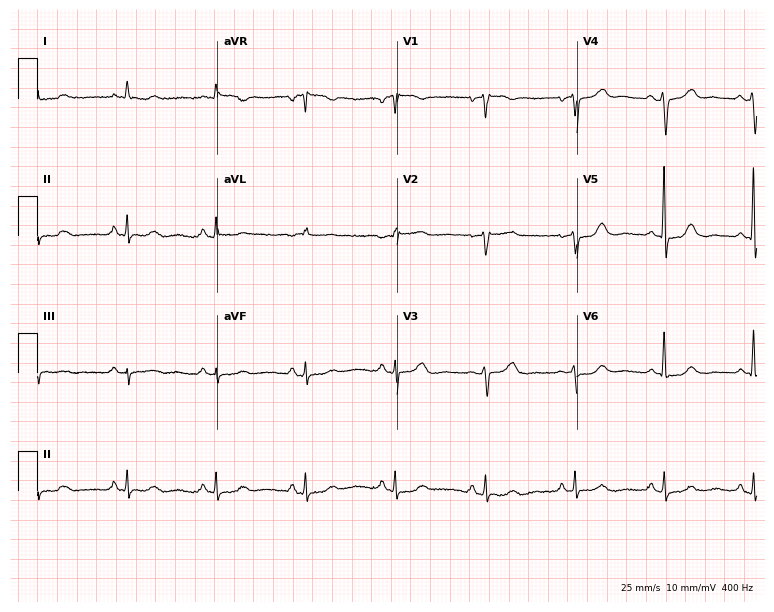
Electrocardiogram, a woman, 81 years old. Of the six screened findings (first-degree AV block, right bundle branch block (RBBB), left bundle branch block (LBBB), sinus bradycardia, atrial fibrillation (AF), sinus tachycardia), none is recorded.